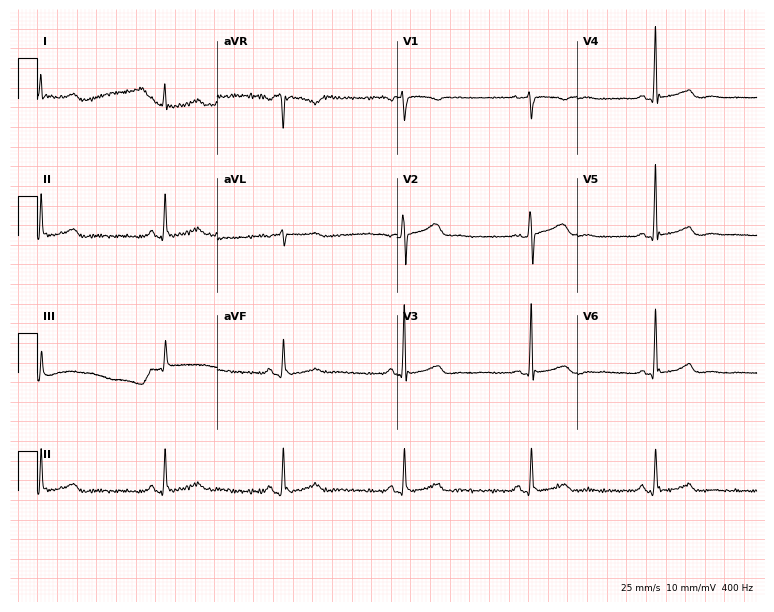
ECG — a 53-year-old female. Labelled as a normal ECG.